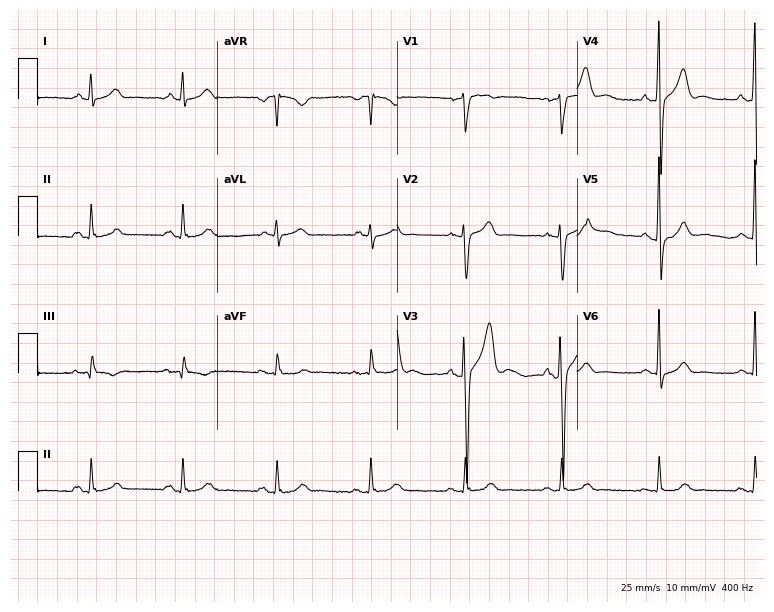
12-lead ECG (7.3-second recording at 400 Hz) from a 65-year-old man. Screened for six findings — first-degree AV block, right bundle branch block, left bundle branch block, sinus bradycardia, atrial fibrillation, sinus tachycardia — none is recorded.